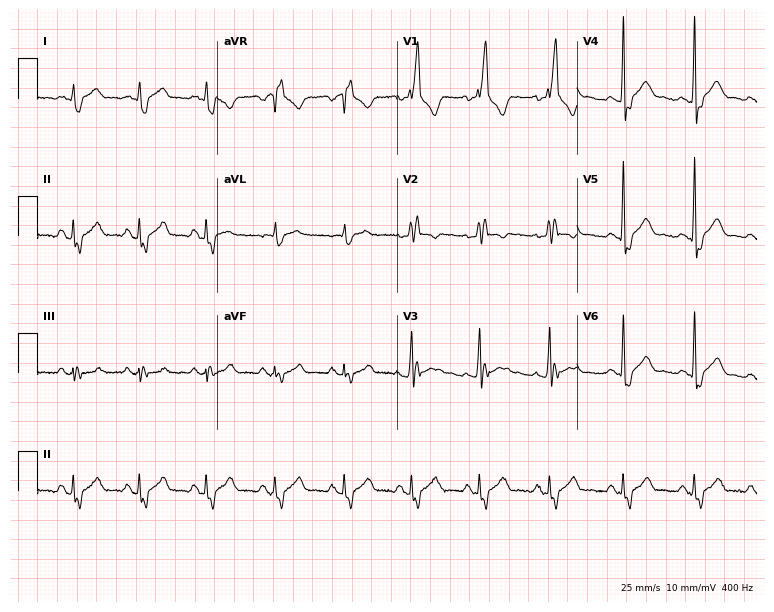
12-lead ECG (7.3-second recording at 400 Hz) from a 30-year-old male patient. Findings include right bundle branch block (RBBB).